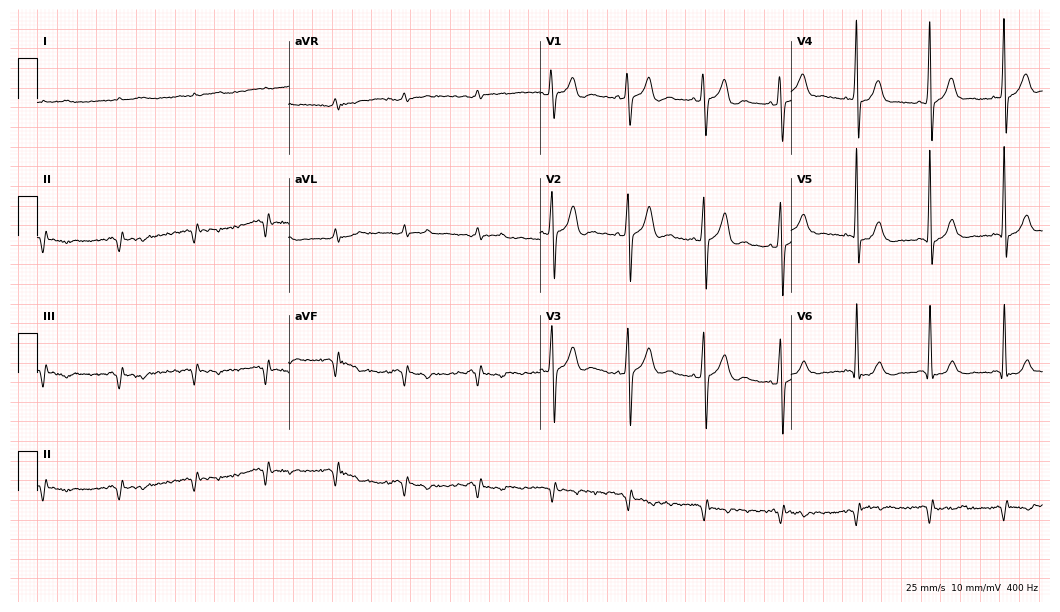
Standard 12-lead ECG recorded from a man, 28 years old (10.2-second recording at 400 Hz). None of these six findings is recorded: first-degree AV block, right bundle branch block, left bundle branch block, sinus bradycardia, atrial fibrillation, sinus tachycardia. Only these six findings were labelled.